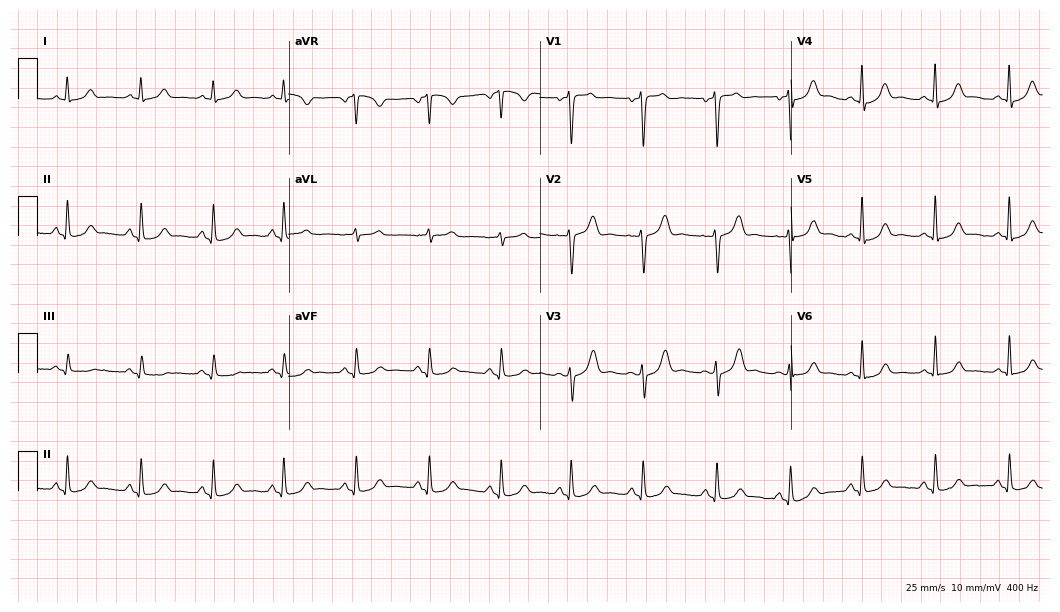
Electrocardiogram (10.2-second recording at 400 Hz), a 51-year-old woman. Of the six screened findings (first-degree AV block, right bundle branch block, left bundle branch block, sinus bradycardia, atrial fibrillation, sinus tachycardia), none is recorded. Only these six findings were labelled.